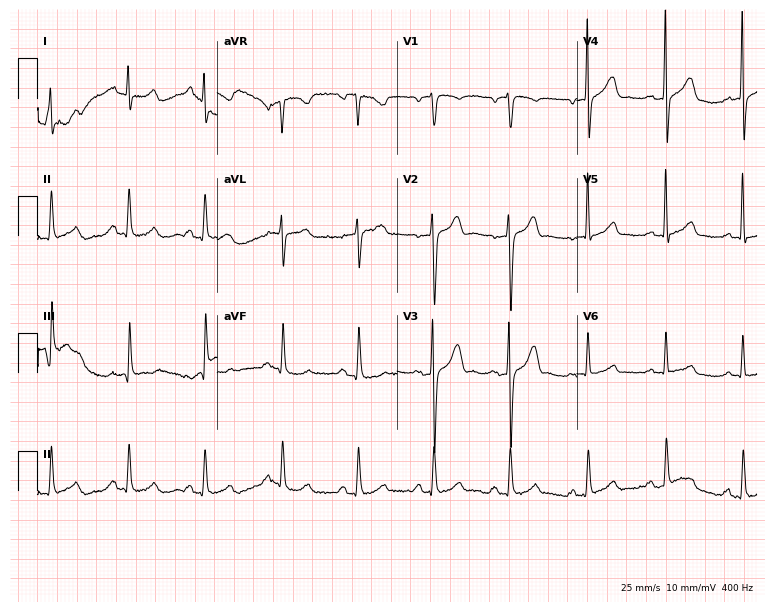
Resting 12-lead electrocardiogram. Patient: a 42-year-old man. Read as a normal ECG.